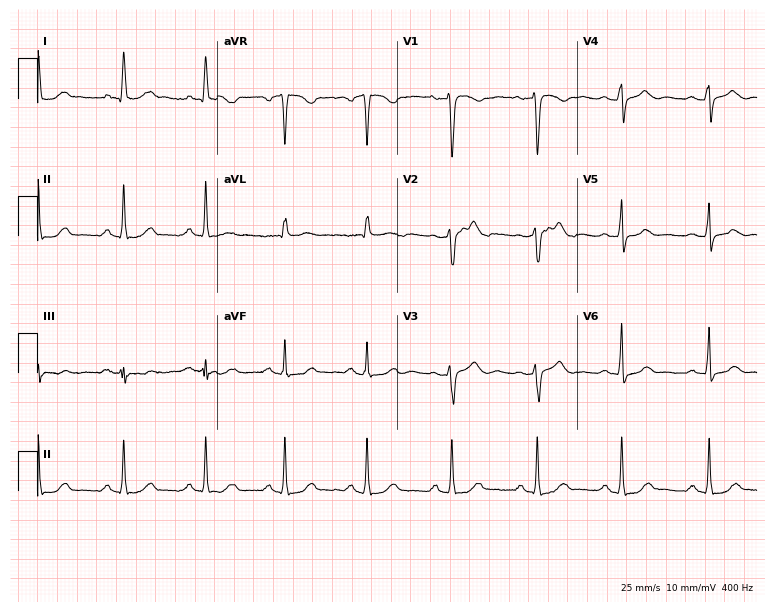
12-lead ECG from a female, 41 years old. Recorded interpretation: within normal limits.